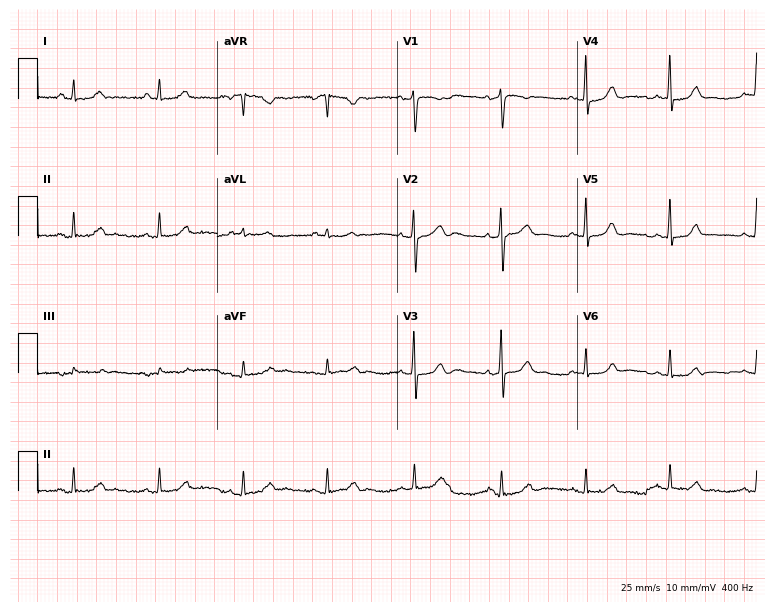
ECG (7.3-second recording at 400 Hz) — a 38-year-old female patient. Labelled as a normal ECG.